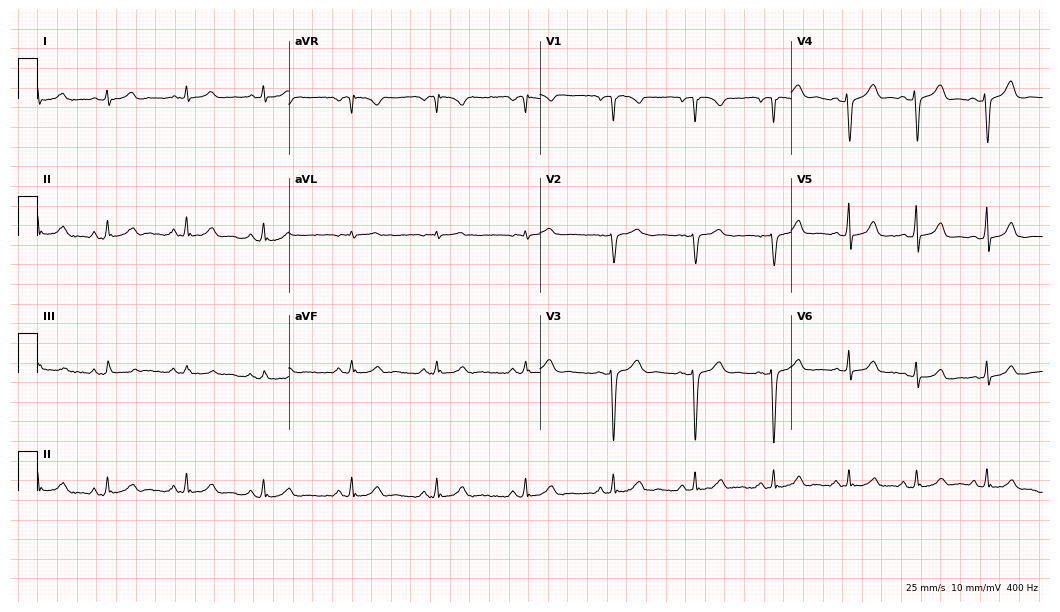
Resting 12-lead electrocardiogram (10.2-second recording at 400 Hz). Patient: a 22-year-old female. None of these six findings is recorded: first-degree AV block, right bundle branch block (RBBB), left bundle branch block (LBBB), sinus bradycardia, atrial fibrillation (AF), sinus tachycardia. Other findings, if any, are not listed.